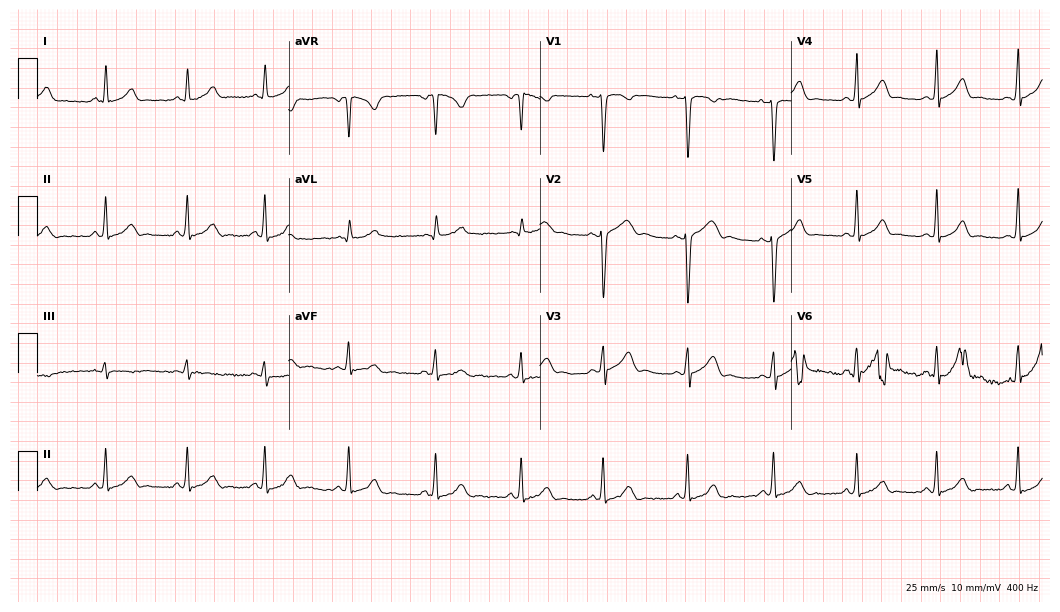
ECG (10.2-second recording at 400 Hz) — a female patient, 21 years old. Labelled as a normal ECG.